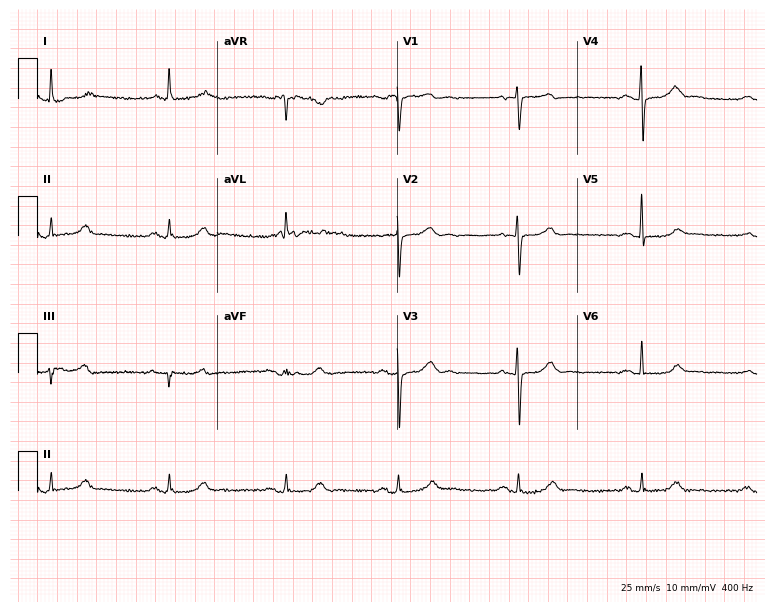
12-lead ECG (7.3-second recording at 400 Hz) from a female, 70 years old. Labelled as a normal ECG.